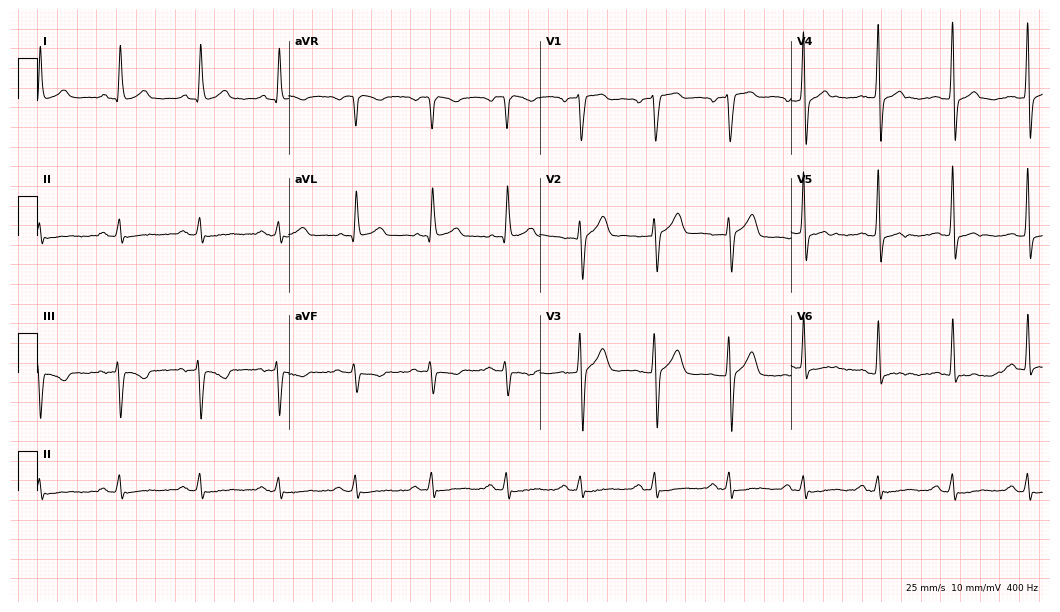
Resting 12-lead electrocardiogram. Patient: a male, 62 years old. None of these six findings is recorded: first-degree AV block, right bundle branch block, left bundle branch block, sinus bradycardia, atrial fibrillation, sinus tachycardia. Findings outside these six are not listed.